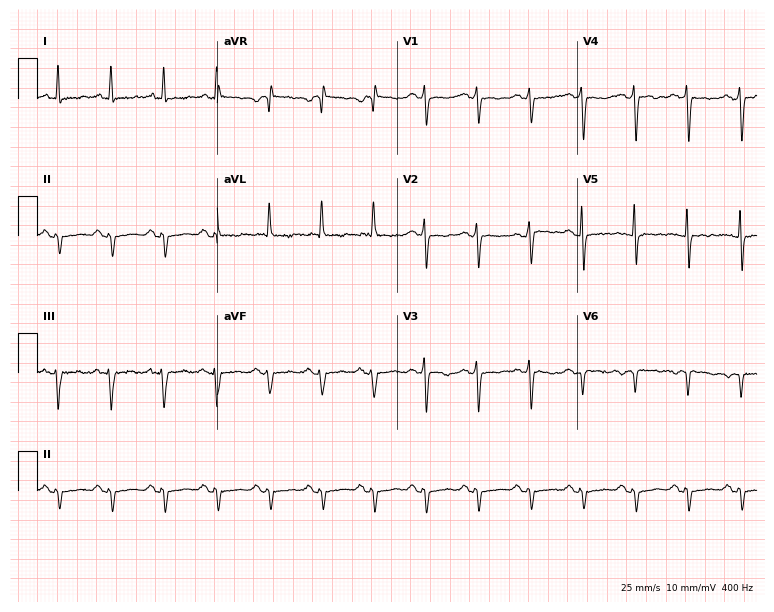
12-lead ECG from a 43-year-old female (7.3-second recording at 400 Hz). Shows sinus tachycardia (a sinus rate of 100 beats per minute or more).